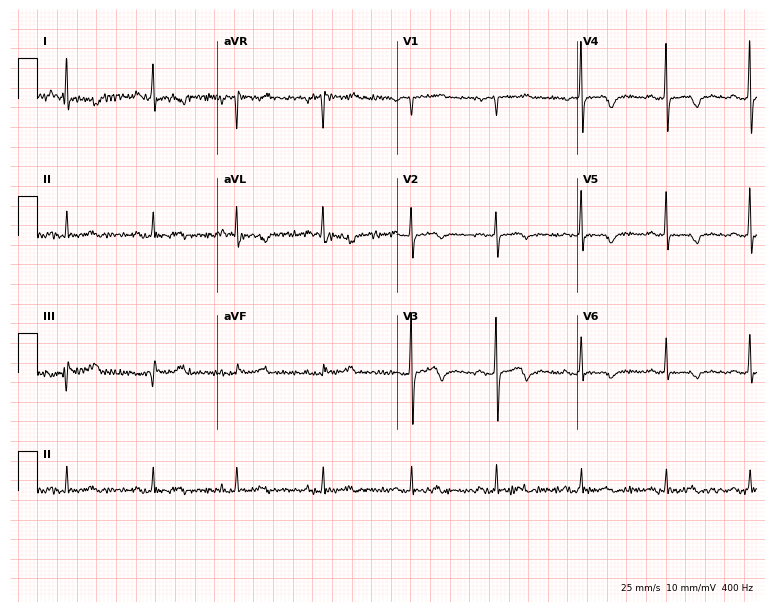
Standard 12-lead ECG recorded from a woman, 82 years old. None of these six findings is recorded: first-degree AV block, right bundle branch block (RBBB), left bundle branch block (LBBB), sinus bradycardia, atrial fibrillation (AF), sinus tachycardia. Findings outside these six are not listed.